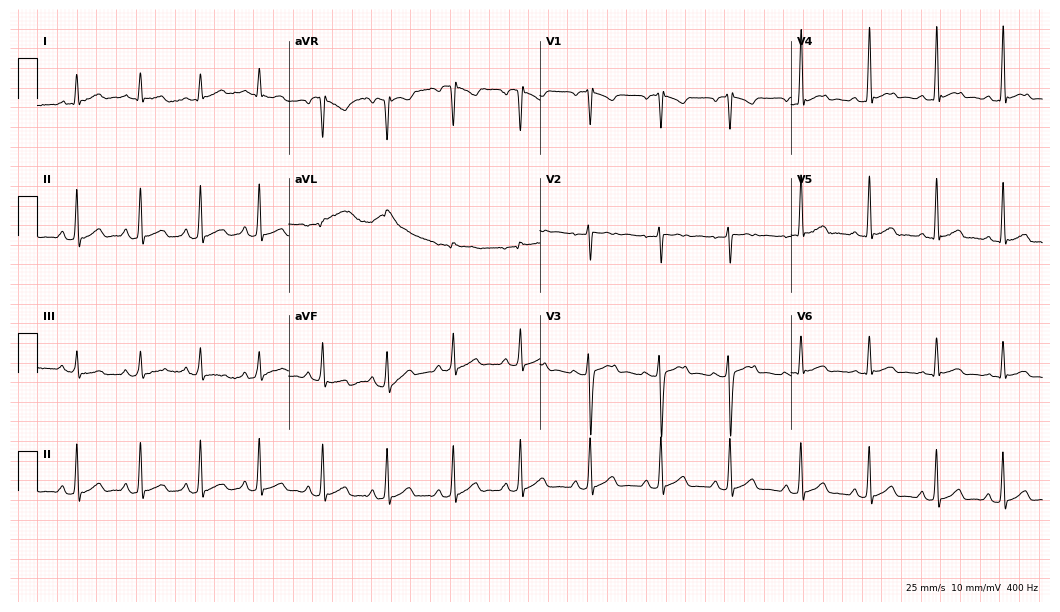
Electrocardiogram, a woman, 21 years old. Of the six screened findings (first-degree AV block, right bundle branch block, left bundle branch block, sinus bradycardia, atrial fibrillation, sinus tachycardia), none is recorded. Only these six findings were labelled.